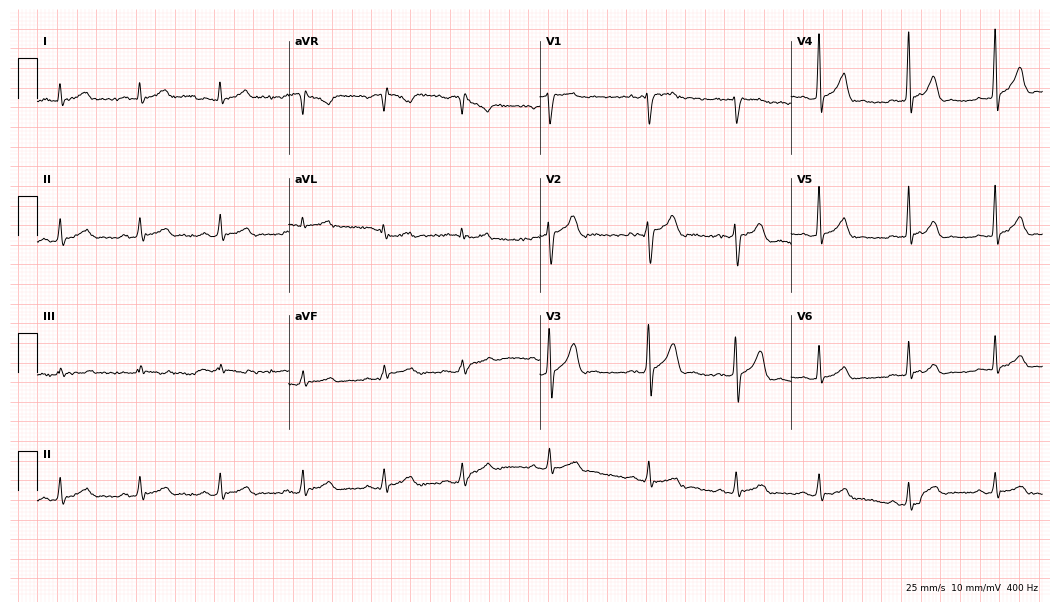
12-lead ECG from a male patient, 33 years old (10.2-second recording at 400 Hz). No first-degree AV block, right bundle branch block, left bundle branch block, sinus bradycardia, atrial fibrillation or sinus tachycardia recorded for this tracing.